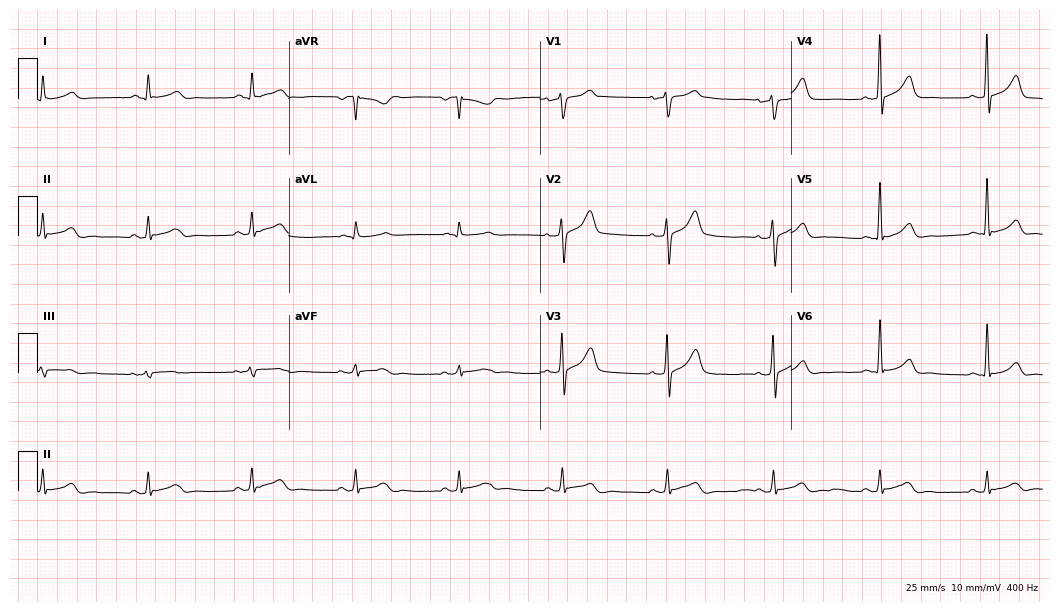
12-lead ECG from a 64-year-old male patient. No first-degree AV block, right bundle branch block, left bundle branch block, sinus bradycardia, atrial fibrillation or sinus tachycardia recorded for this tracing. Other findings, if any, are not listed.